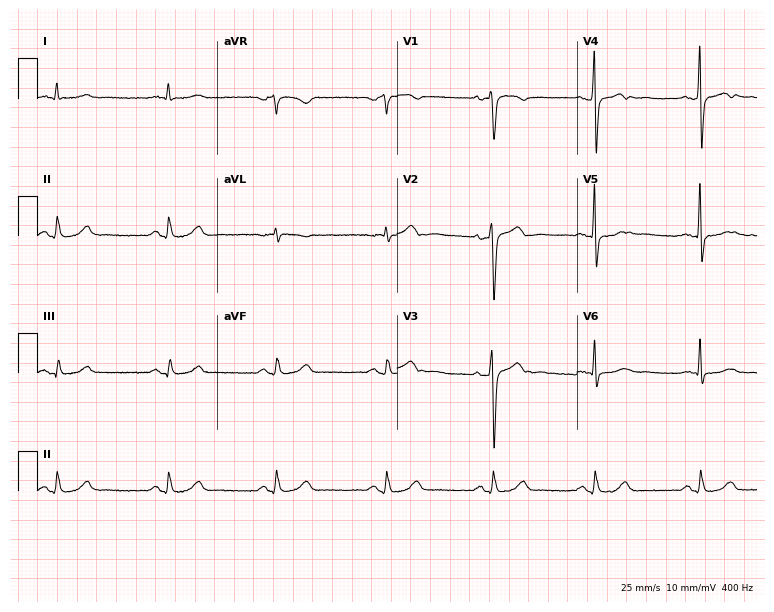
Electrocardiogram (7.3-second recording at 400 Hz), a 44-year-old male. Overall reading on record: normal ECG.